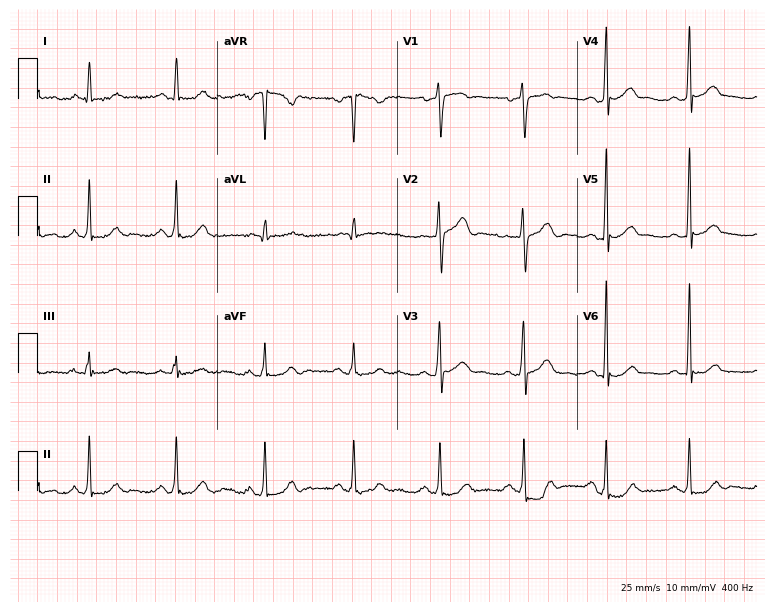
12-lead ECG (7.3-second recording at 400 Hz) from a man, 52 years old. Labelled as a normal ECG.